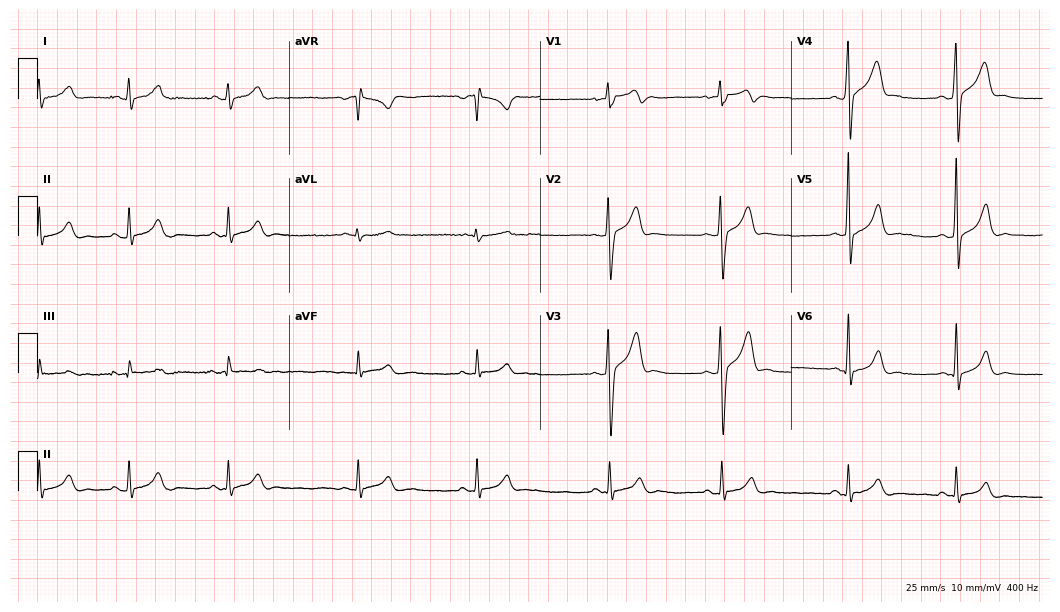
12-lead ECG from a male, 22 years old (10.2-second recording at 400 Hz). Recorded interpretation: within normal limits.